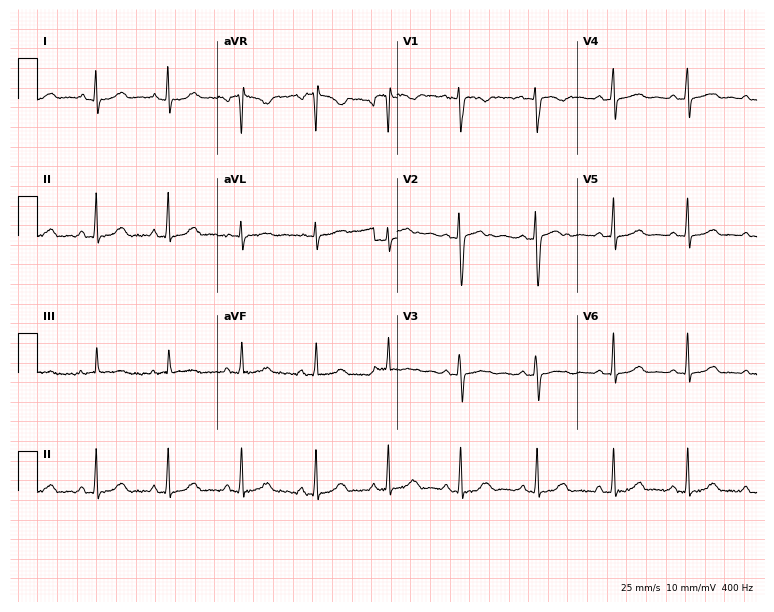
Electrocardiogram, a 28-year-old female. Of the six screened findings (first-degree AV block, right bundle branch block, left bundle branch block, sinus bradycardia, atrial fibrillation, sinus tachycardia), none is recorded. Other findings, if any, are not listed.